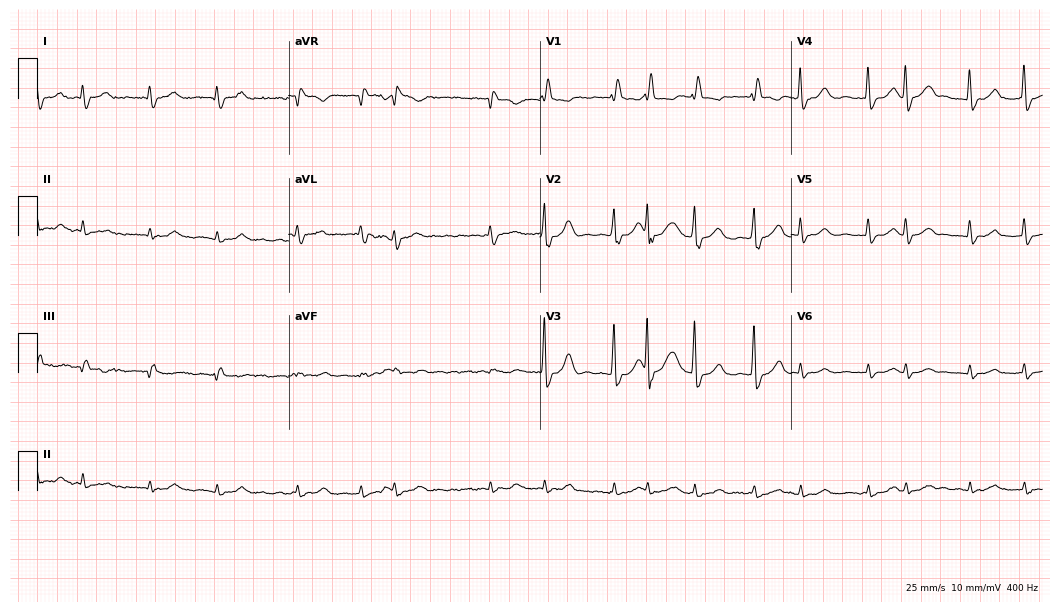
12-lead ECG (10.2-second recording at 400 Hz) from a 70-year-old female. Screened for six findings — first-degree AV block, right bundle branch block, left bundle branch block, sinus bradycardia, atrial fibrillation, sinus tachycardia — none is recorded. Findings outside these six are not listed.